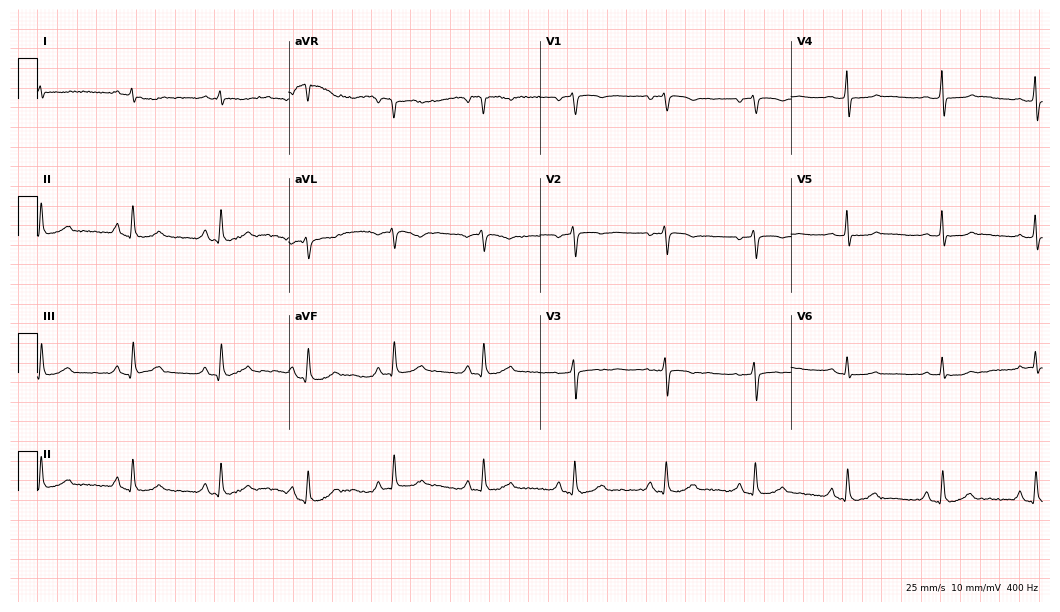
ECG (10.2-second recording at 400 Hz) — a 59-year-old female. Screened for six findings — first-degree AV block, right bundle branch block (RBBB), left bundle branch block (LBBB), sinus bradycardia, atrial fibrillation (AF), sinus tachycardia — none is recorded.